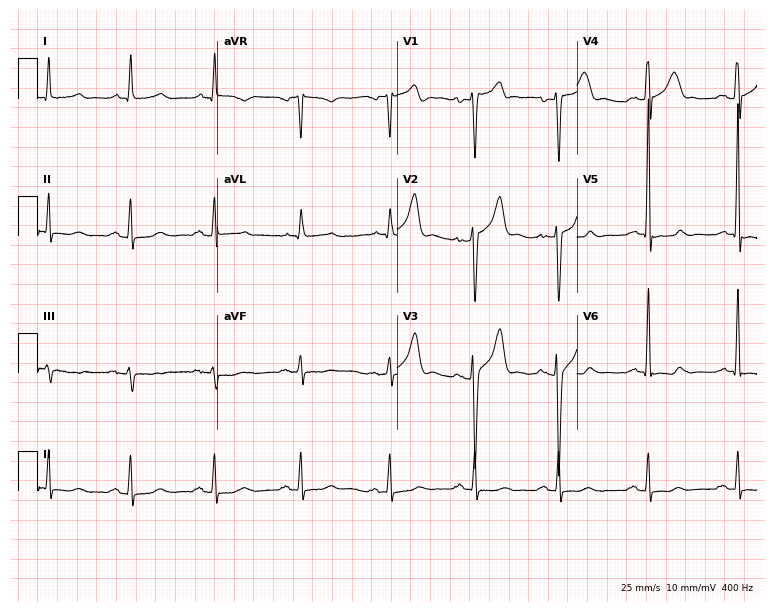
12-lead ECG from a man, 62 years old (7.3-second recording at 400 Hz). Recorded interpretation: within normal limits.